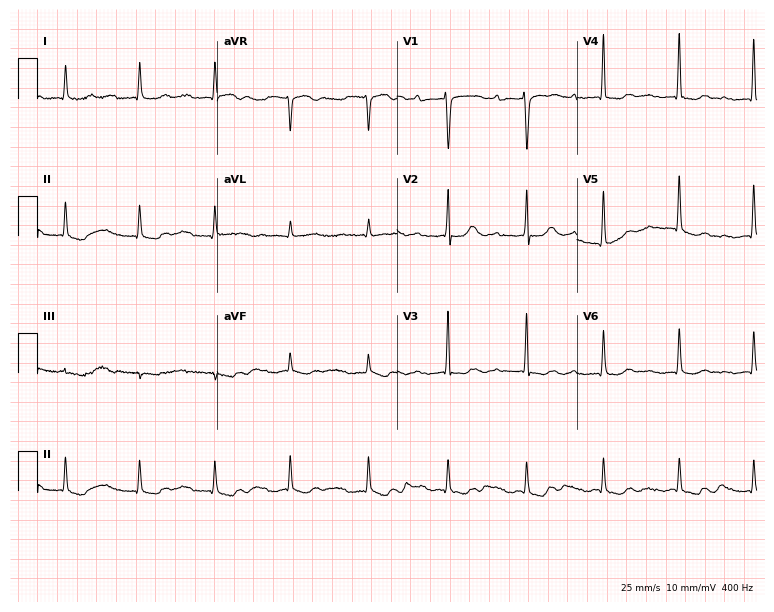
12-lead ECG from a 78-year-old male. Findings include first-degree AV block.